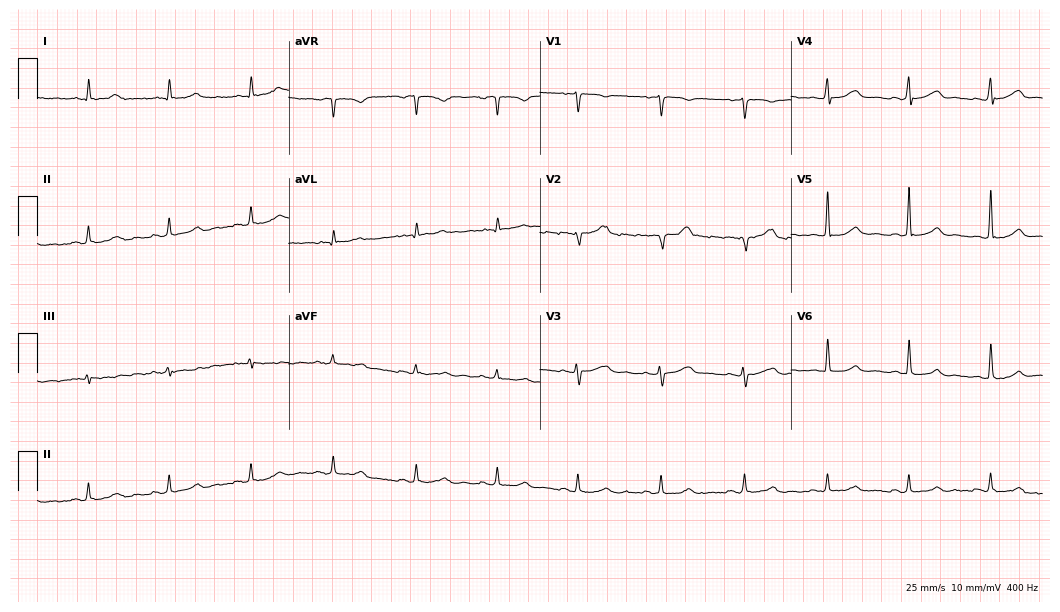
Electrocardiogram (10.2-second recording at 400 Hz), a female, 52 years old. Of the six screened findings (first-degree AV block, right bundle branch block, left bundle branch block, sinus bradycardia, atrial fibrillation, sinus tachycardia), none is recorded. Findings outside these six are not listed.